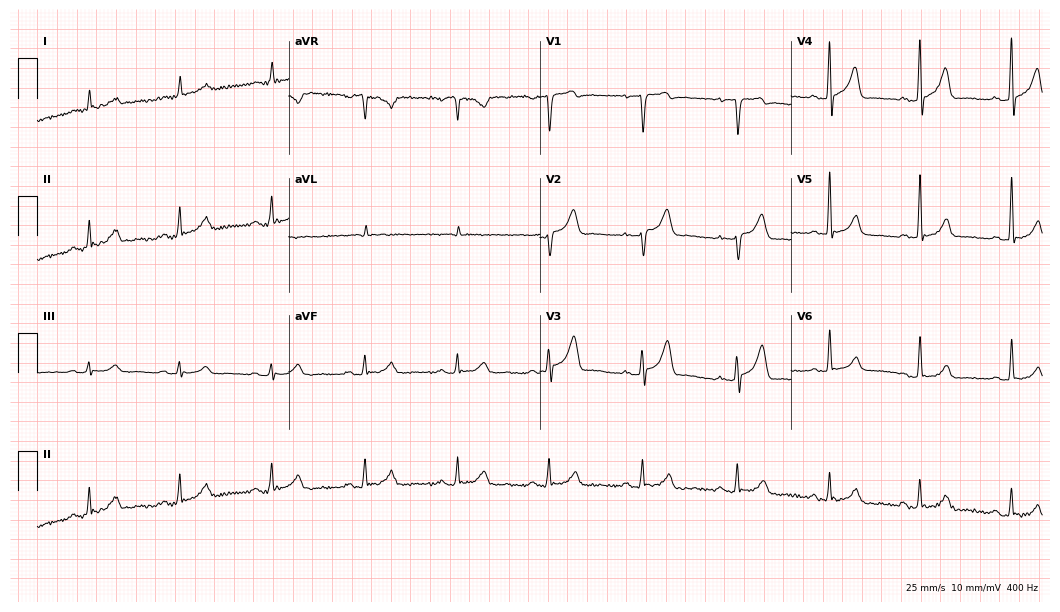
12-lead ECG from a man, 60 years old (10.2-second recording at 400 Hz). Recorded interpretation: within normal limits.